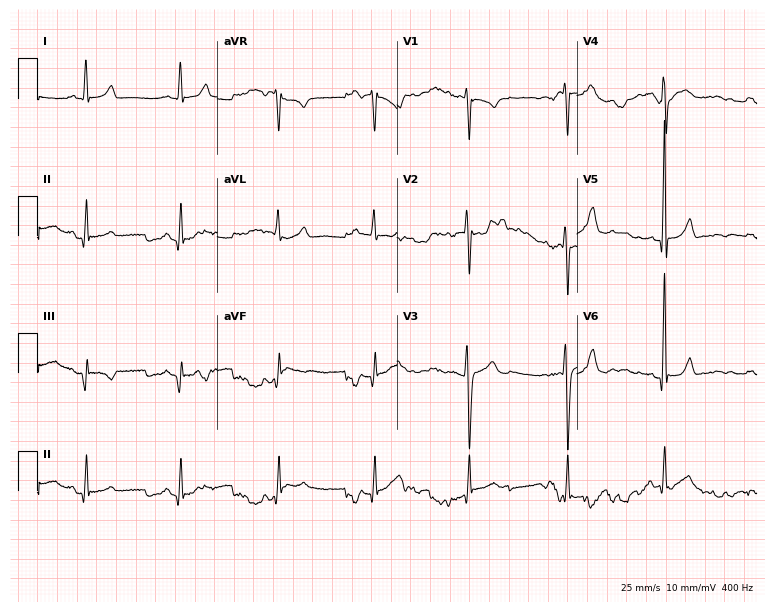
Resting 12-lead electrocardiogram (7.3-second recording at 400 Hz). Patient: a male, 31 years old. Read as a normal ECG.